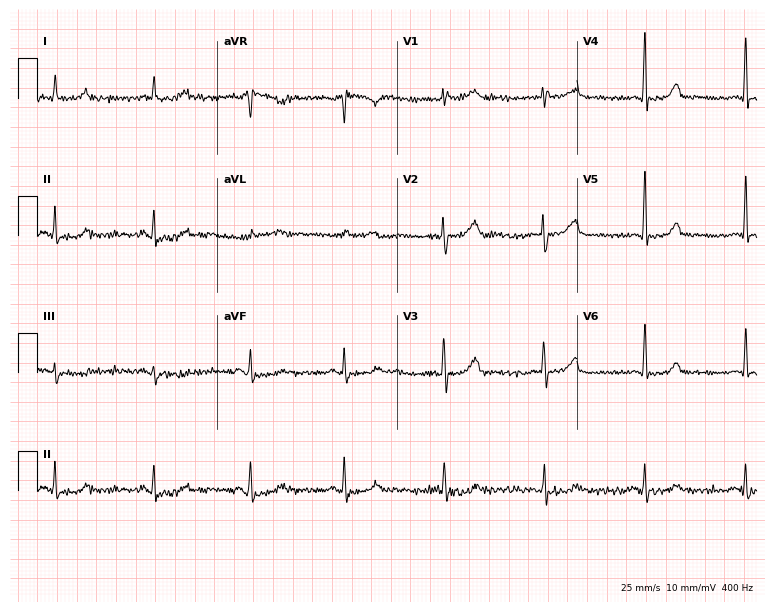
12-lead ECG (7.3-second recording at 400 Hz) from a woman, 55 years old. Screened for six findings — first-degree AV block, right bundle branch block (RBBB), left bundle branch block (LBBB), sinus bradycardia, atrial fibrillation (AF), sinus tachycardia — none is recorded.